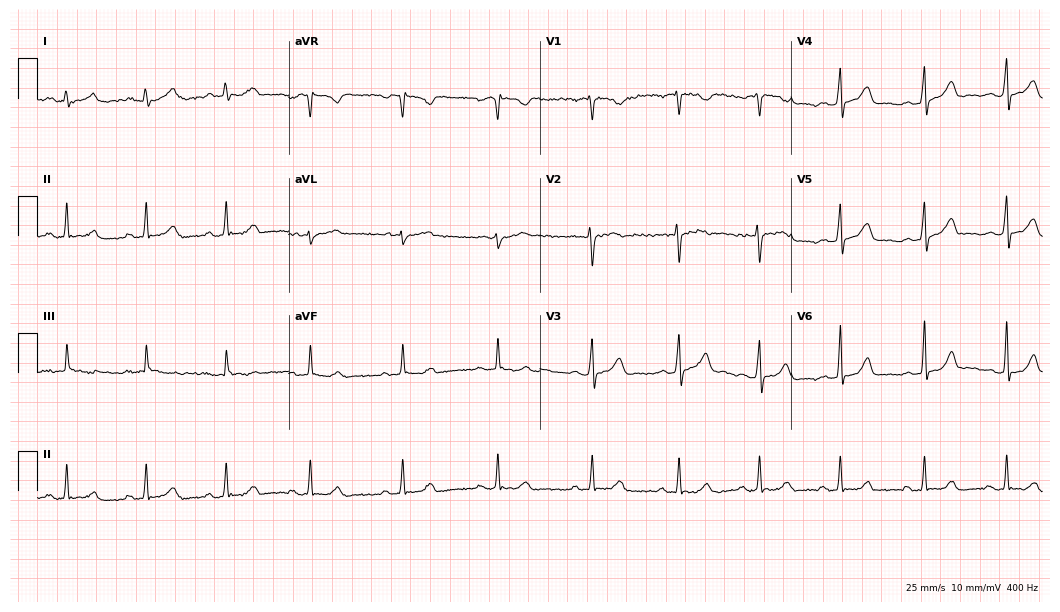
ECG (10.2-second recording at 400 Hz) — a woman, 26 years old. Screened for six findings — first-degree AV block, right bundle branch block, left bundle branch block, sinus bradycardia, atrial fibrillation, sinus tachycardia — none is recorded.